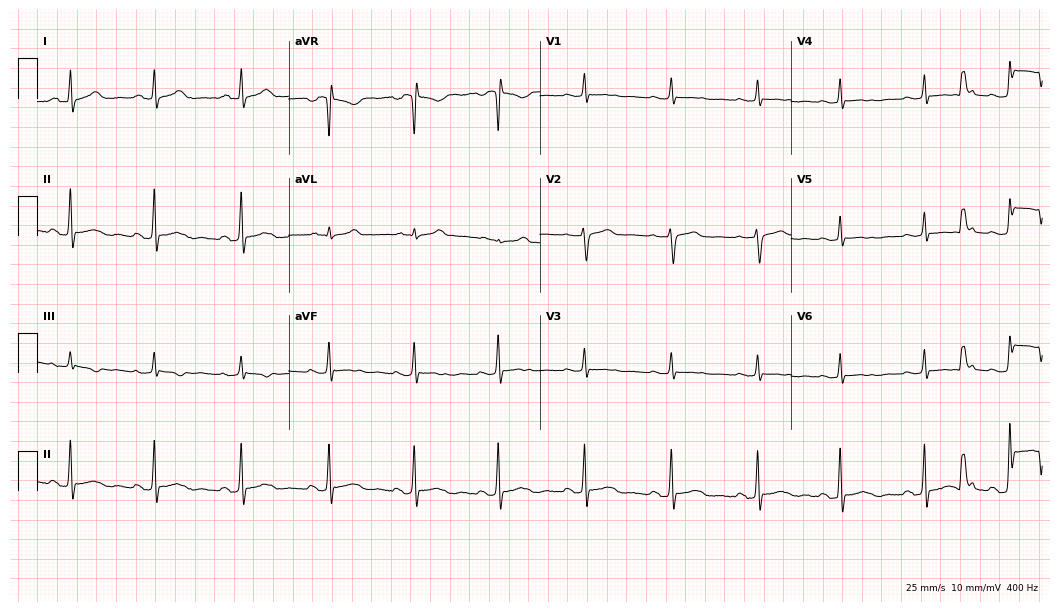
ECG — a female patient, 46 years old. Screened for six findings — first-degree AV block, right bundle branch block (RBBB), left bundle branch block (LBBB), sinus bradycardia, atrial fibrillation (AF), sinus tachycardia — none is recorded.